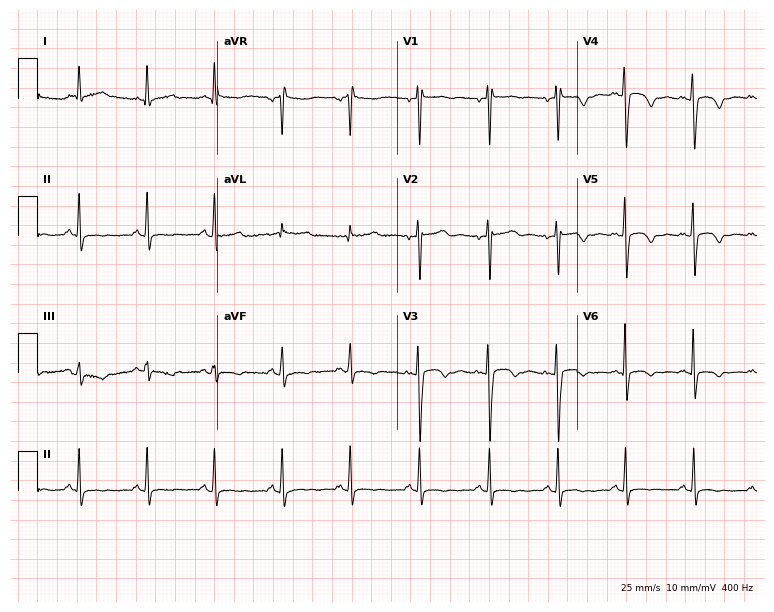
Resting 12-lead electrocardiogram. Patient: a female, 50 years old. Read as a normal ECG.